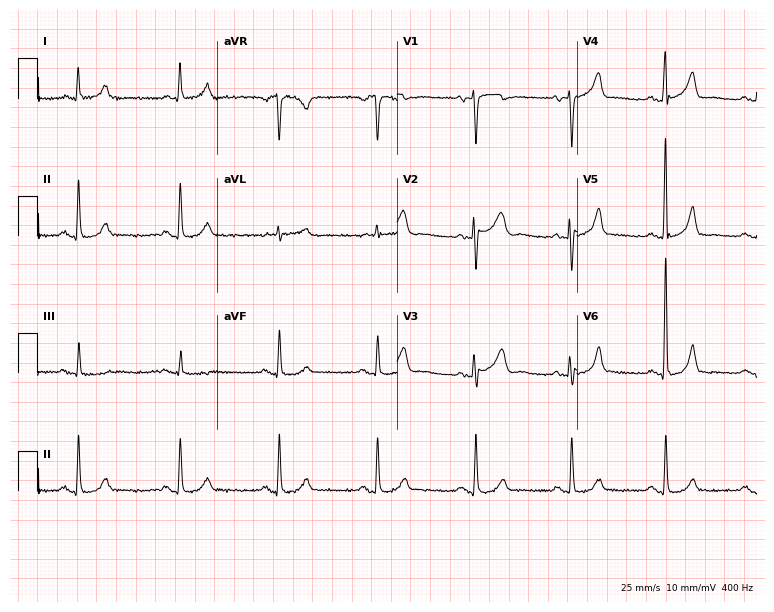
ECG (7.3-second recording at 400 Hz) — a male, 66 years old. Screened for six findings — first-degree AV block, right bundle branch block, left bundle branch block, sinus bradycardia, atrial fibrillation, sinus tachycardia — none is recorded.